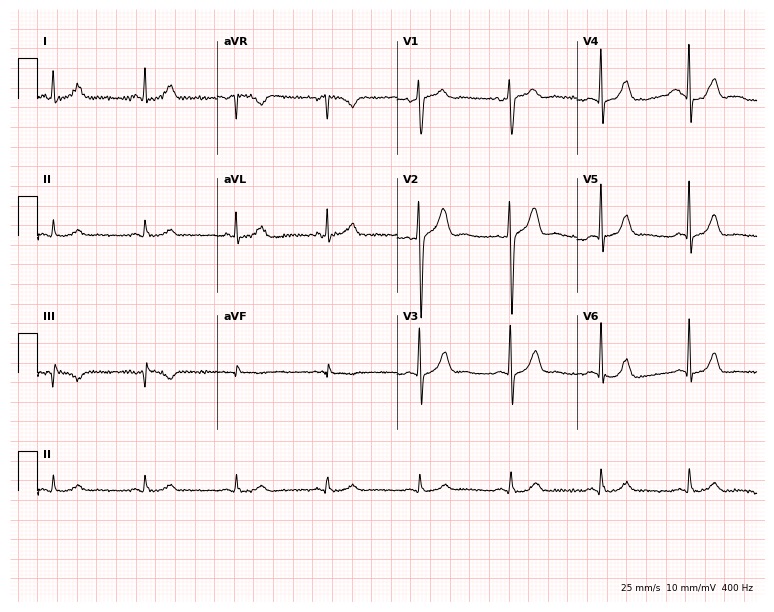
ECG — a female, 46 years old. Screened for six findings — first-degree AV block, right bundle branch block (RBBB), left bundle branch block (LBBB), sinus bradycardia, atrial fibrillation (AF), sinus tachycardia — none is recorded. Only these six findings were labelled.